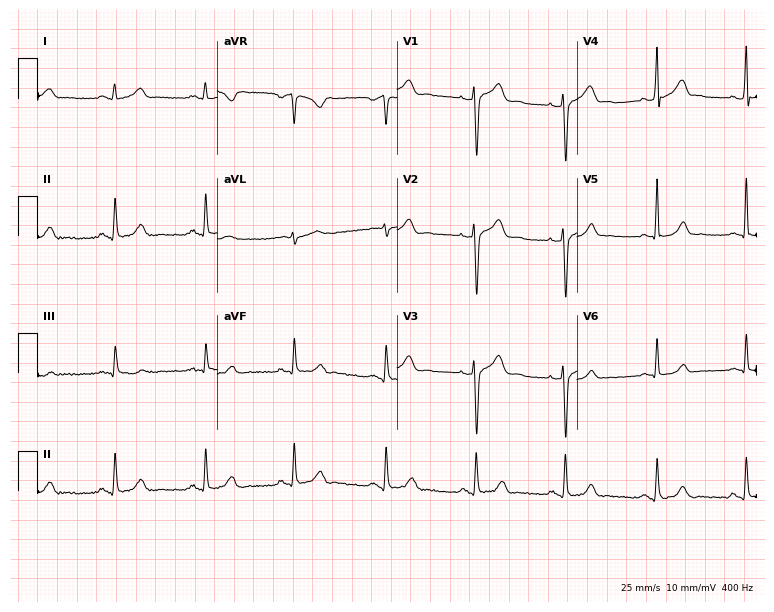
Standard 12-lead ECG recorded from a male patient, 19 years old (7.3-second recording at 400 Hz). None of these six findings is recorded: first-degree AV block, right bundle branch block, left bundle branch block, sinus bradycardia, atrial fibrillation, sinus tachycardia.